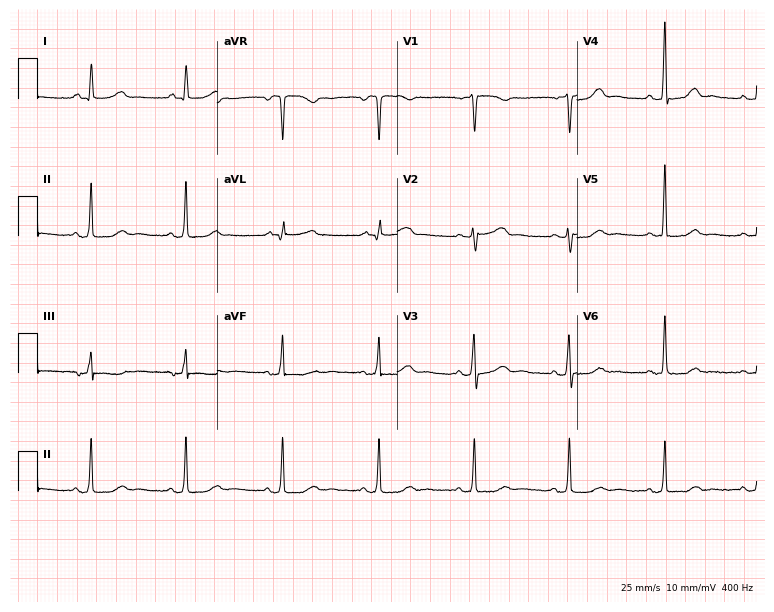
Electrocardiogram (7.3-second recording at 400 Hz), a 69-year-old woman. Of the six screened findings (first-degree AV block, right bundle branch block, left bundle branch block, sinus bradycardia, atrial fibrillation, sinus tachycardia), none is recorded. Other findings, if any, are not listed.